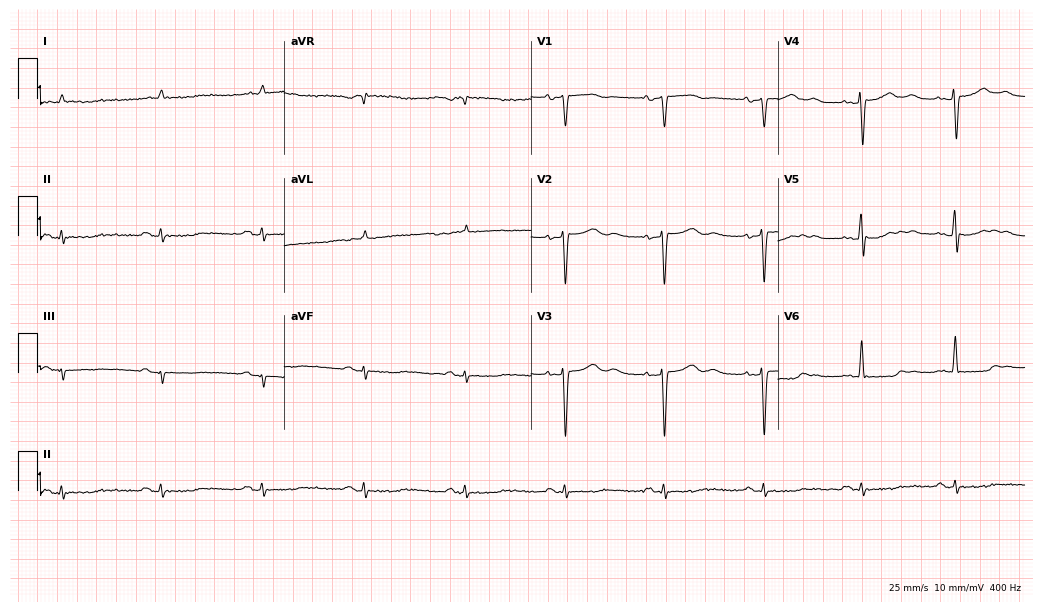
Electrocardiogram, a man, 60 years old. Of the six screened findings (first-degree AV block, right bundle branch block (RBBB), left bundle branch block (LBBB), sinus bradycardia, atrial fibrillation (AF), sinus tachycardia), none is recorded.